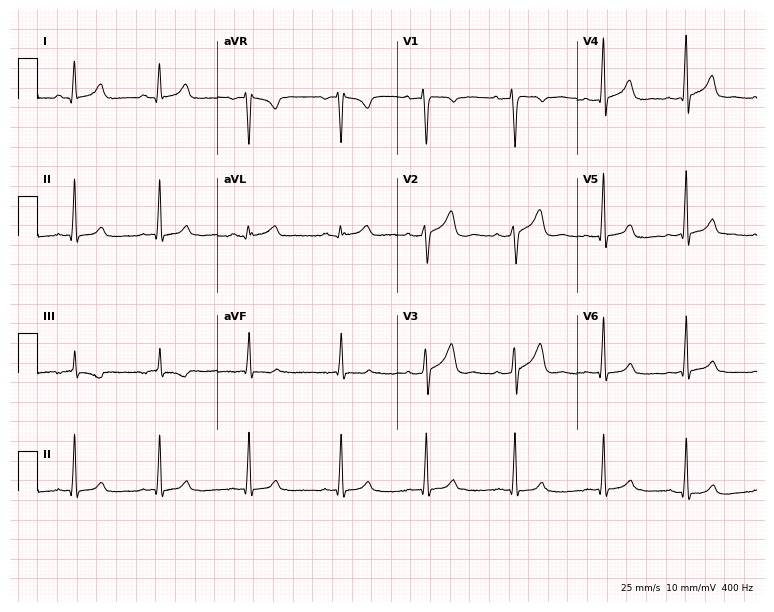
Standard 12-lead ECG recorded from a 34-year-old male (7.3-second recording at 400 Hz). None of these six findings is recorded: first-degree AV block, right bundle branch block (RBBB), left bundle branch block (LBBB), sinus bradycardia, atrial fibrillation (AF), sinus tachycardia. Other findings, if any, are not listed.